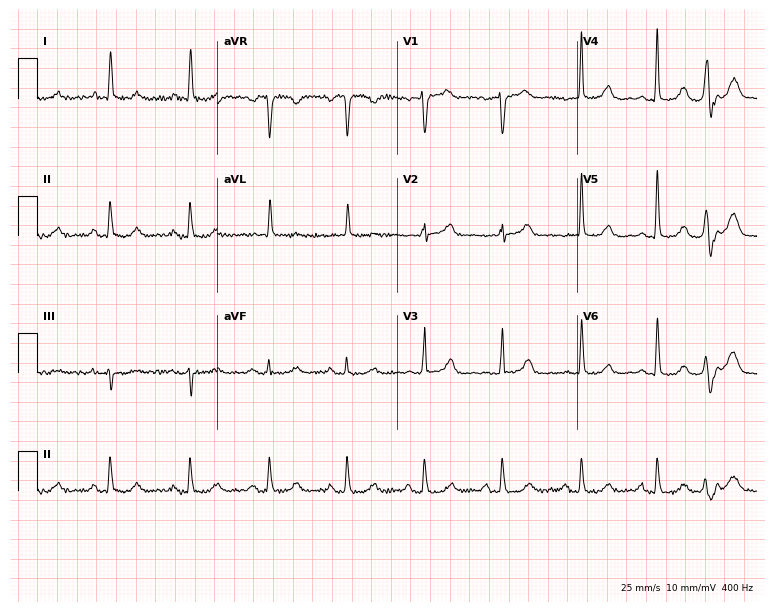
Electrocardiogram, an 83-year-old woman. Overall reading on record: normal ECG.